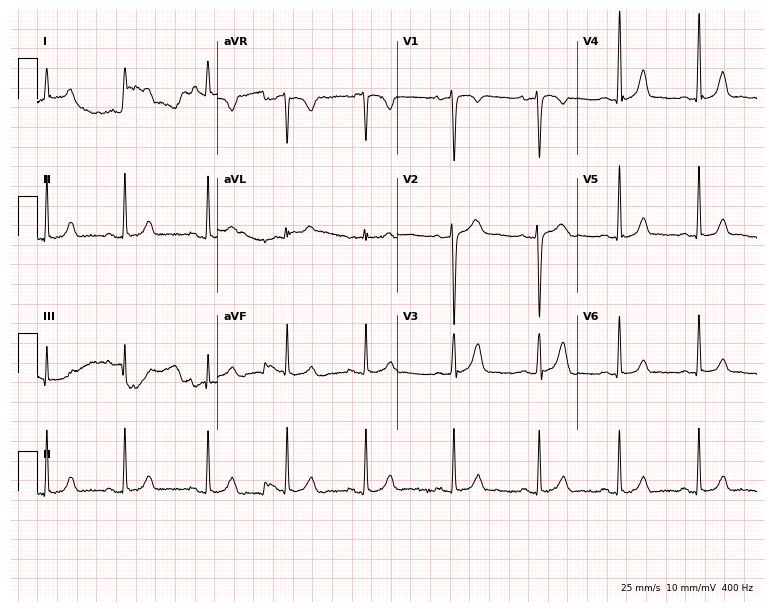
12-lead ECG from a 29-year-old female patient (7.3-second recording at 400 Hz). No first-degree AV block, right bundle branch block, left bundle branch block, sinus bradycardia, atrial fibrillation or sinus tachycardia recorded for this tracing. Other findings, if any, are not listed.